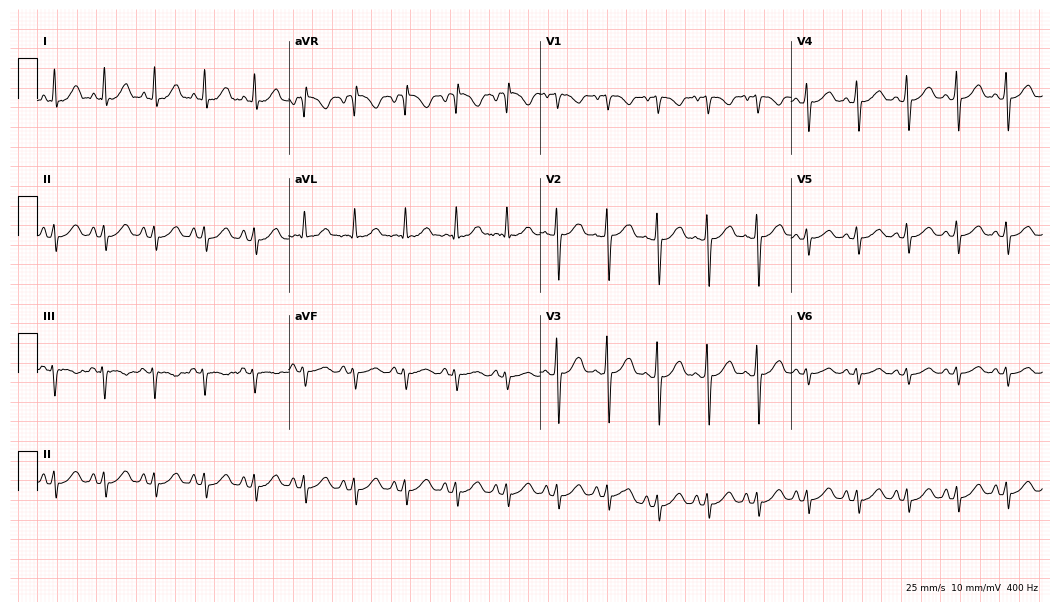
12-lead ECG (10.2-second recording at 400 Hz) from a 26-year-old female. Findings include sinus tachycardia (a sinus rate of 100 beats per minute or more).